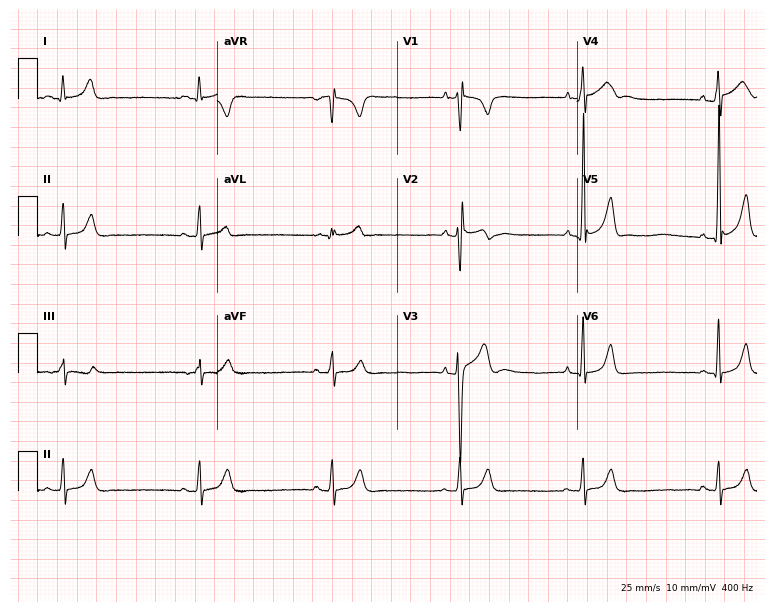
Electrocardiogram (7.3-second recording at 400 Hz), a 21-year-old male patient. Interpretation includes sinus bradycardia (a sinus rate of 50 beats per minute or less).